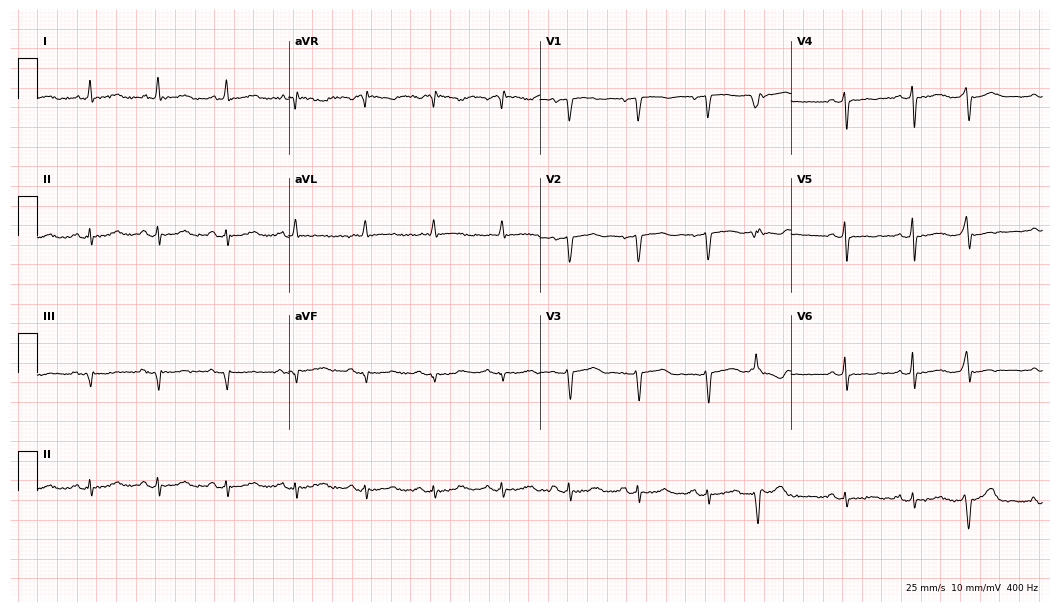
Standard 12-lead ECG recorded from an 83-year-old female patient (10.2-second recording at 400 Hz). None of these six findings is recorded: first-degree AV block, right bundle branch block (RBBB), left bundle branch block (LBBB), sinus bradycardia, atrial fibrillation (AF), sinus tachycardia.